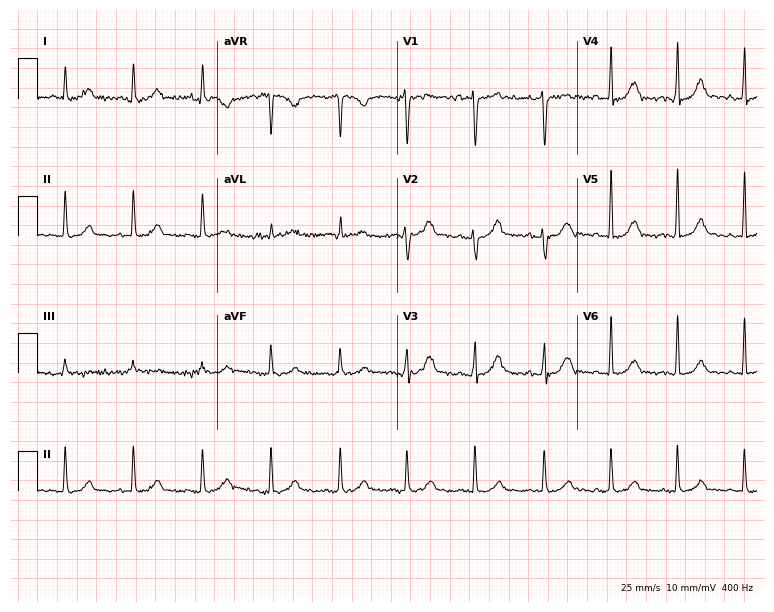
12-lead ECG from a woman, 38 years old (7.3-second recording at 400 Hz). Recorded interpretation: within normal limits.